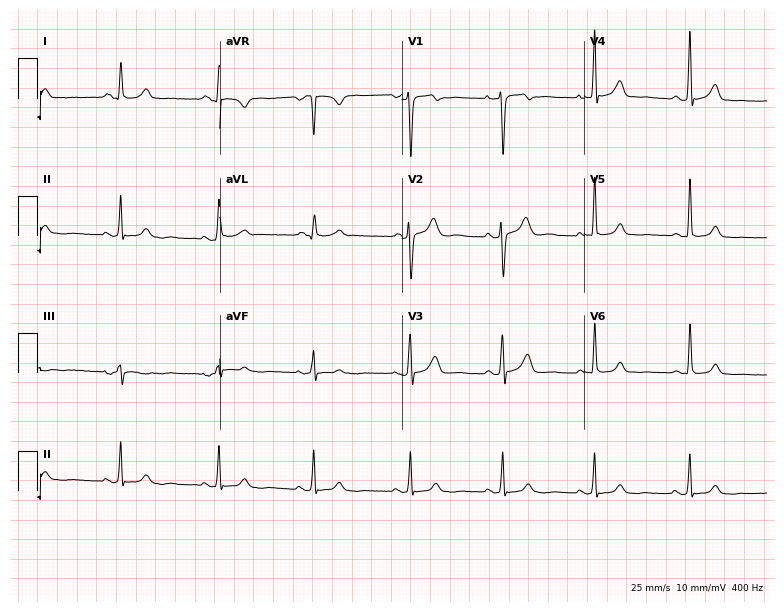
12-lead ECG from a female patient, 45 years old. Screened for six findings — first-degree AV block, right bundle branch block, left bundle branch block, sinus bradycardia, atrial fibrillation, sinus tachycardia — none is recorded.